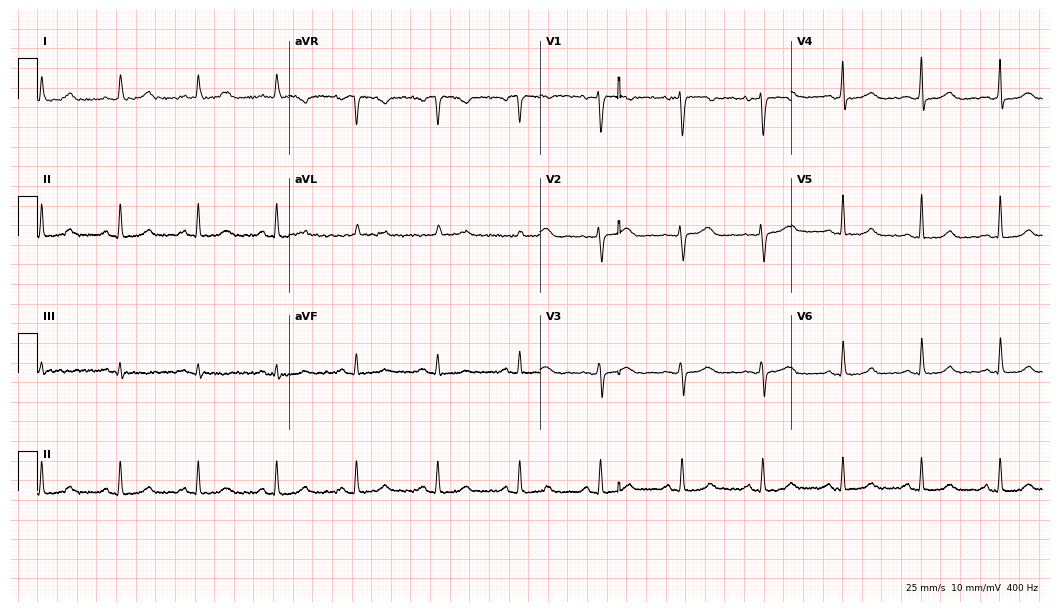
12-lead ECG from a female patient, 47 years old (10.2-second recording at 400 Hz). Recorded interpretation: within normal limits.